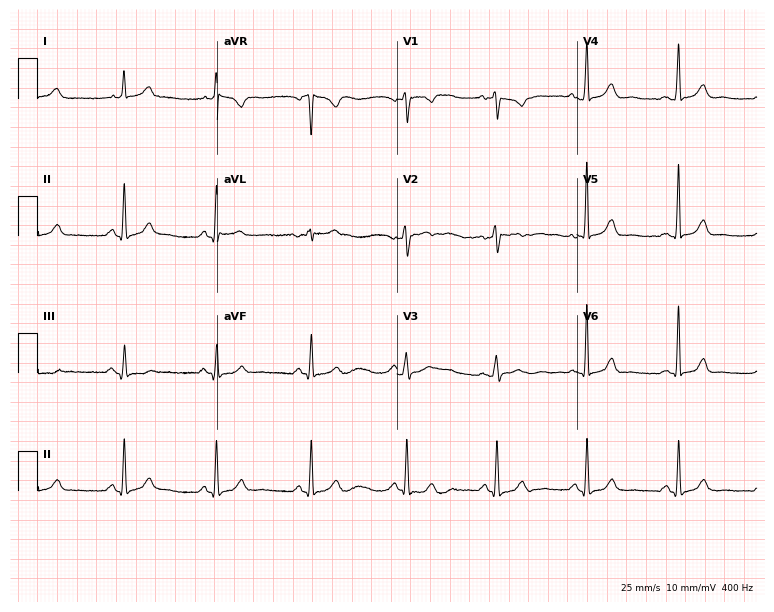
Resting 12-lead electrocardiogram (7.3-second recording at 400 Hz). Patient: a 49-year-old female. Read as a normal ECG.